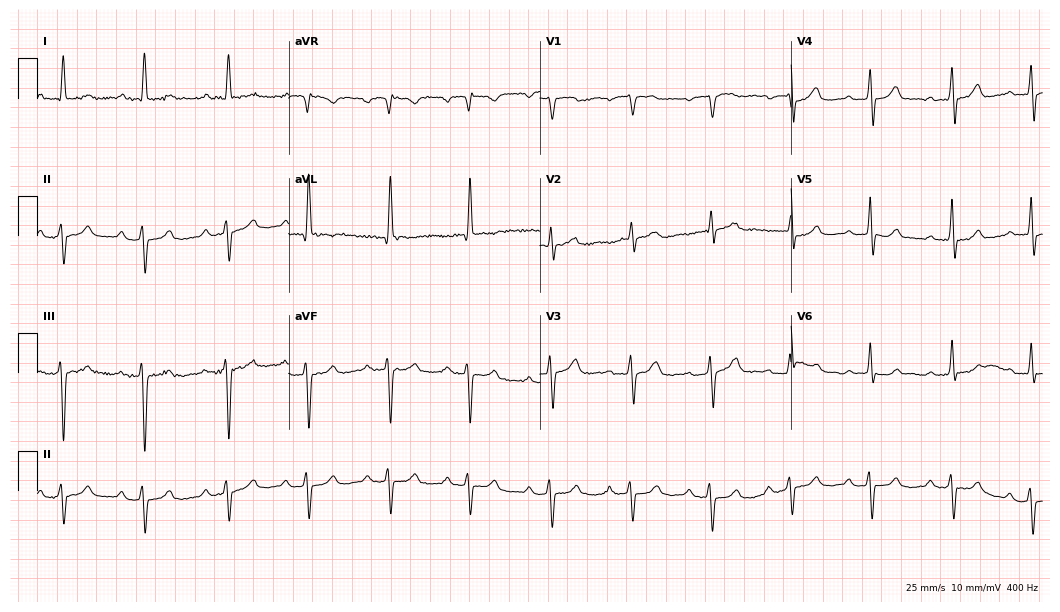
12-lead ECG (10.2-second recording at 400 Hz) from a female patient, 85 years old. Findings include first-degree AV block.